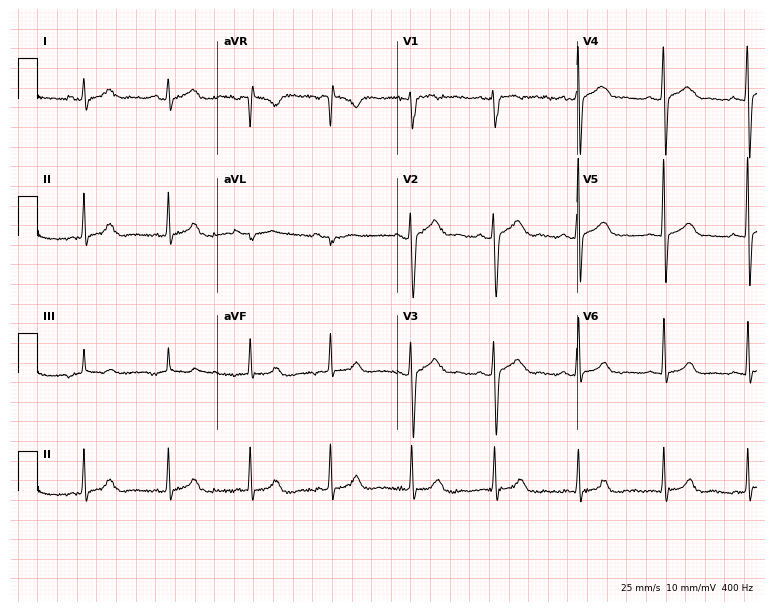
12-lead ECG from a female, 26 years old (7.3-second recording at 400 Hz). Recorded interpretation: within normal limits.